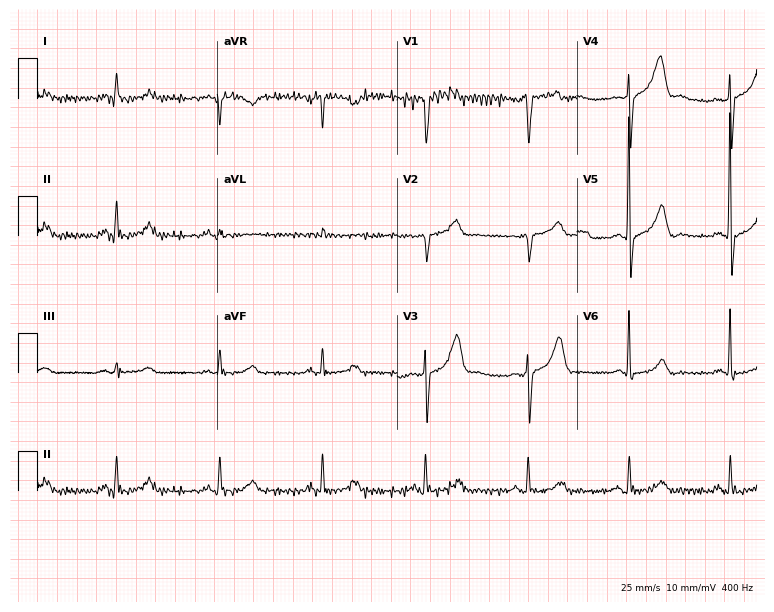
Standard 12-lead ECG recorded from a male patient, 66 years old. None of these six findings is recorded: first-degree AV block, right bundle branch block, left bundle branch block, sinus bradycardia, atrial fibrillation, sinus tachycardia. Findings outside these six are not listed.